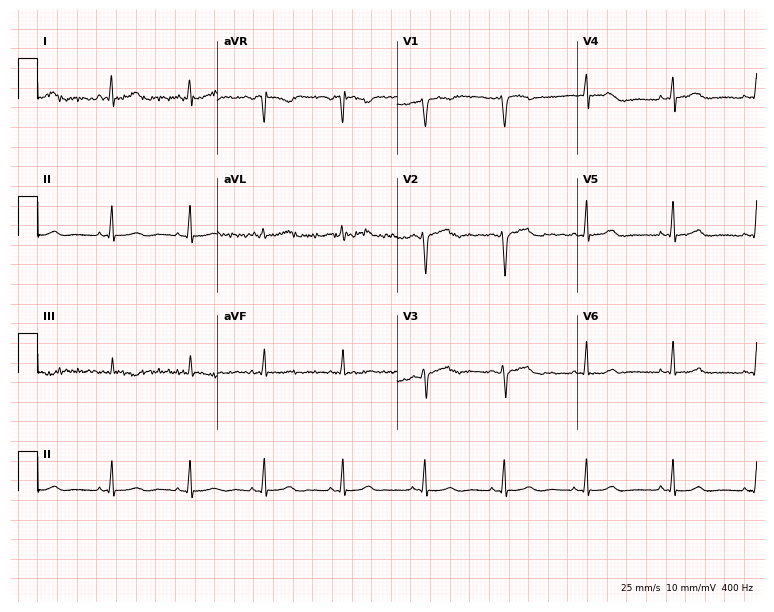
Resting 12-lead electrocardiogram (7.3-second recording at 400 Hz). Patient: a 36-year-old female. Read as a normal ECG.